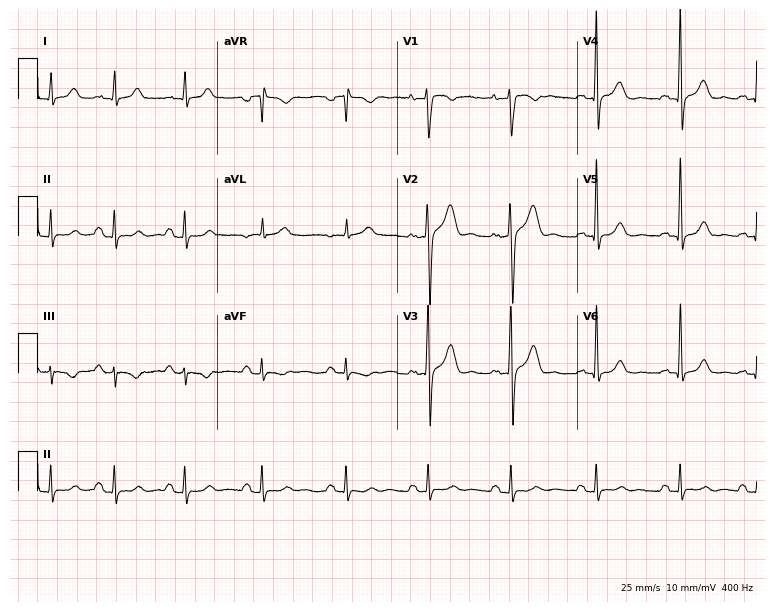
ECG (7.3-second recording at 400 Hz) — a man, 36 years old. Screened for six findings — first-degree AV block, right bundle branch block (RBBB), left bundle branch block (LBBB), sinus bradycardia, atrial fibrillation (AF), sinus tachycardia — none is recorded. Other findings, if any, are not listed.